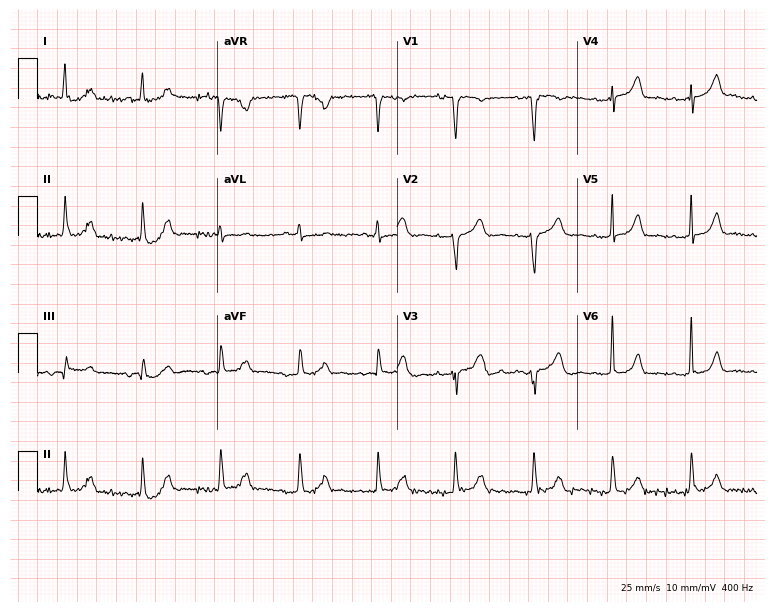
Resting 12-lead electrocardiogram (7.3-second recording at 400 Hz). Patient: an 81-year-old female. None of these six findings is recorded: first-degree AV block, right bundle branch block (RBBB), left bundle branch block (LBBB), sinus bradycardia, atrial fibrillation (AF), sinus tachycardia.